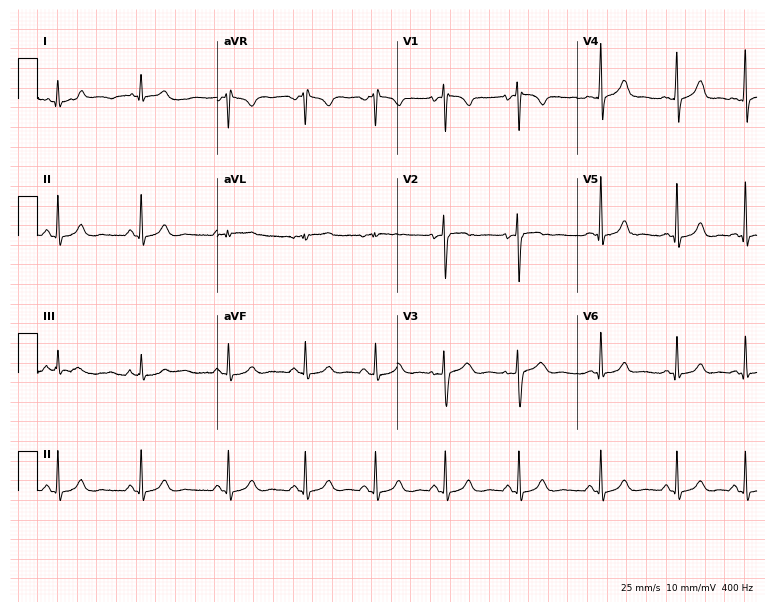
12-lead ECG (7.3-second recording at 400 Hz) from a 30-year-old female patient. Labelled as a normal ECG.